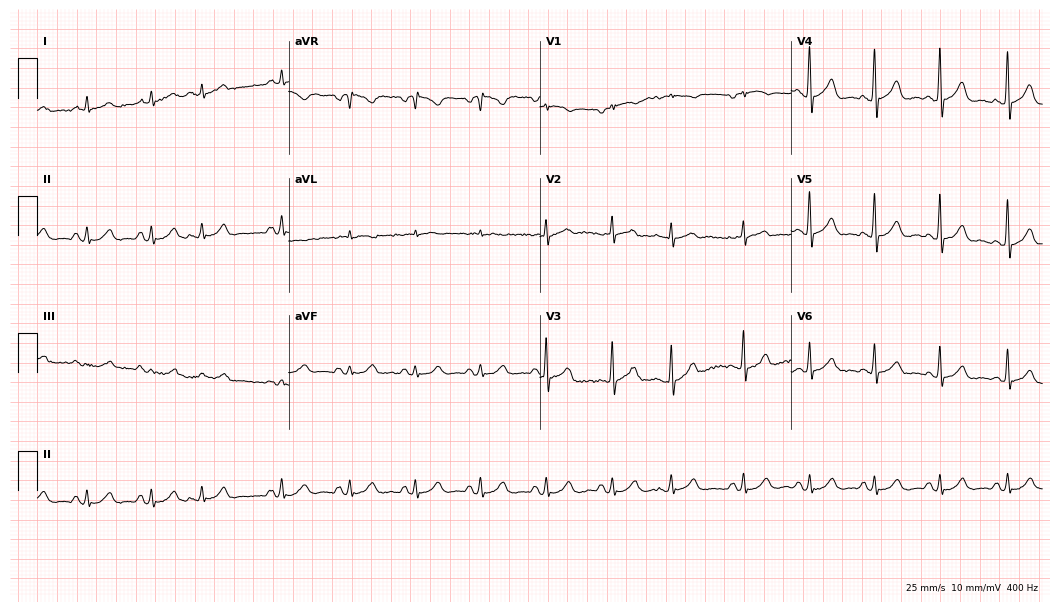
12-lead ECG (10.2-second recording at 400 Hz) from a man, 73 years old. Screened for six findings — first-degree AV block, right bundle branch block, left bundle branch block, sinus bradycardia, atrial fibrillation, sinus tachycardia — none is recorded. Only these six findings were labelled.